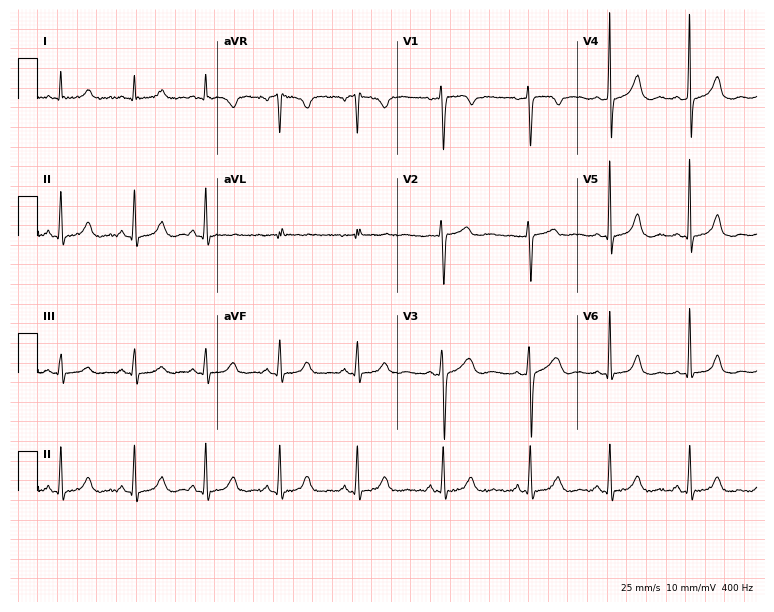
Standard 12-lead ECG recorded from a 43-year-old female. Read as a normal ECG.